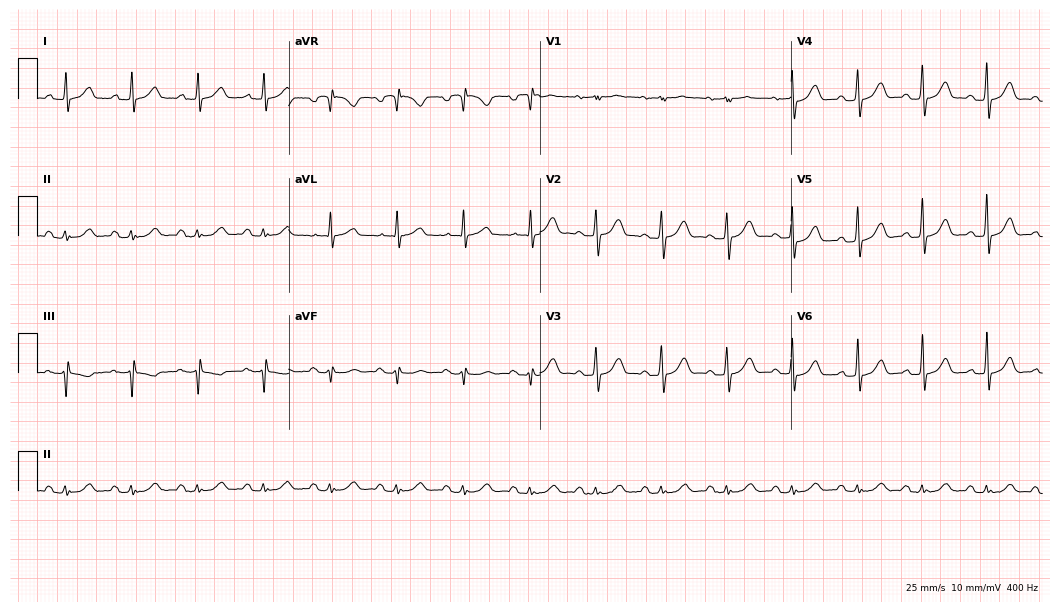
ECG (10.2-second recording at 400 Hz) — a male patient, 70 years old. Labelled as a normal ECG.